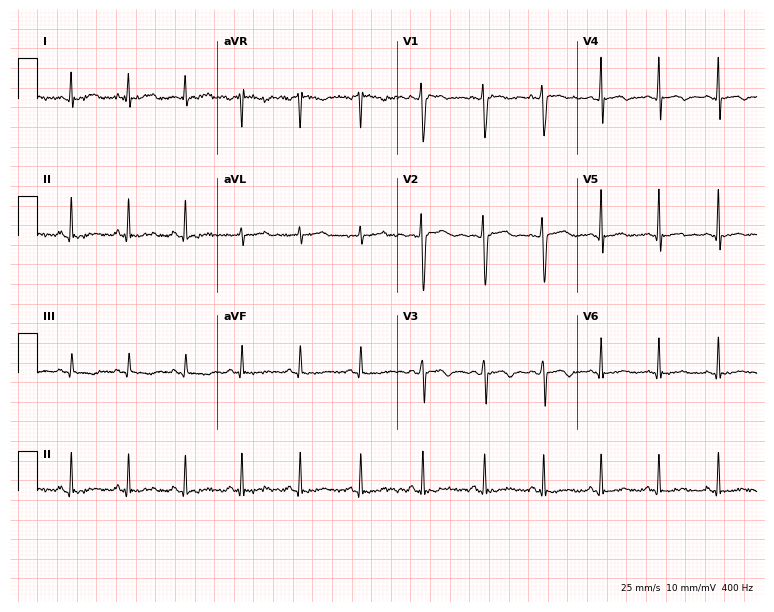
Electrocardiogram, a 19-year-old female patient. Of the six screened findings (first-degree AV block, right bundle branch block (RBBB), left bundle branch block (LBBB), sinus bradycardia, atrial fibrillation (AF), sinus tachycardia), none is recorded. Other findings, if any, are not listed.